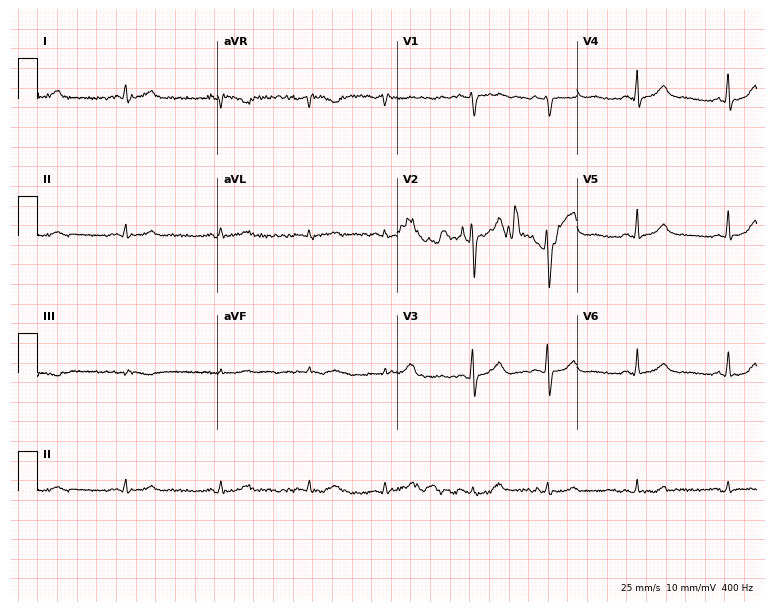
12-lead ECG (7.3-second recording at 400 Hz) from a female, 27 years old. Screened for six findings — first-degree AV block, right bundle branch block, left bundle branch block, sinus bradycardia, atrial fibrillation, sinus tachycardia — none is recorded.